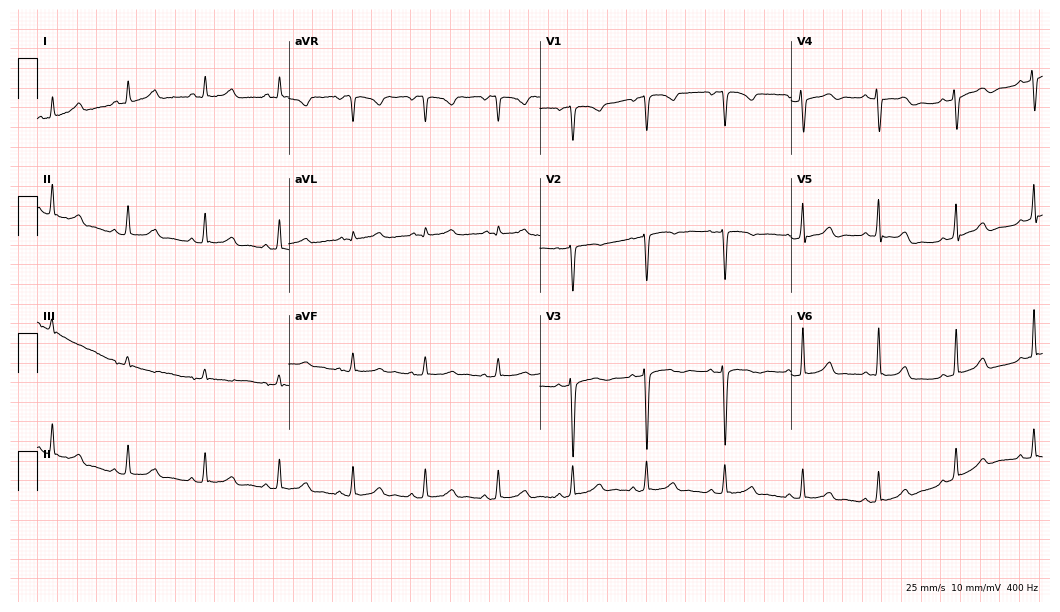
12-lead ECG from a man, 24 years old (10.2-second recording at 400 Hz). Recorded interpretation: within normal limits.